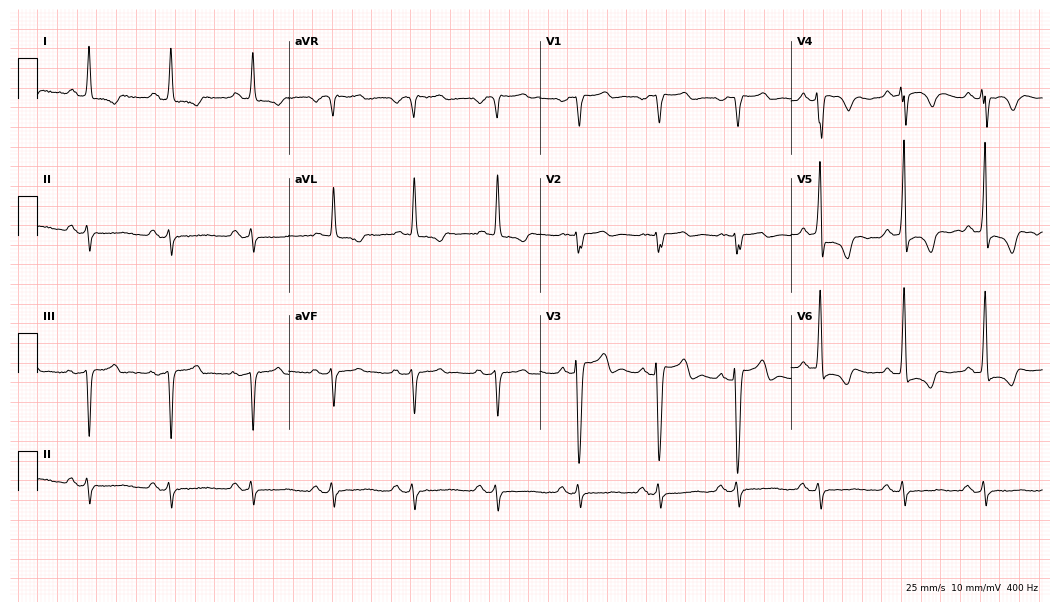
12-lead ECG from an 85-year-old male. Screened for six findings — first-degree AV block, right bundle branch block, left bundle branch block, sinus bradycardia, atrial fibrillation, sinus tachycardia — none is recorded.